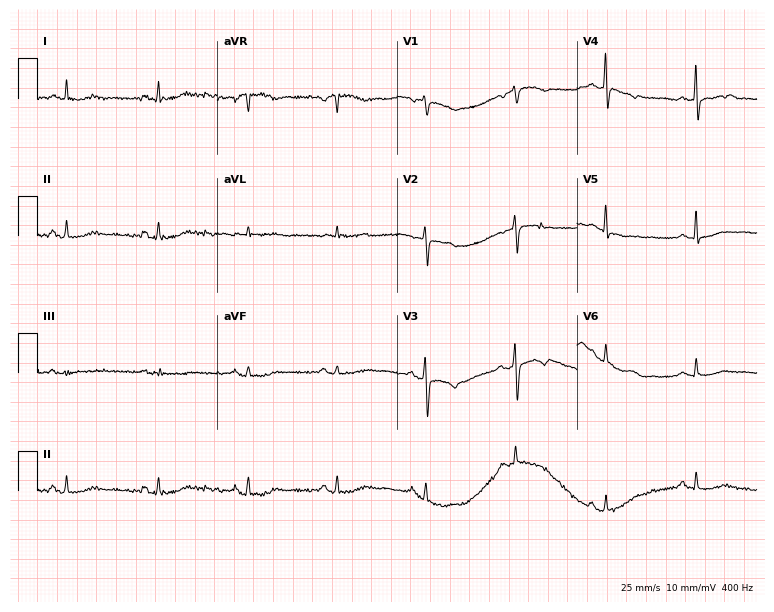
Resting 12-lead electrocardiogram (7.3-second recording at 400 Hz). Patient: a female, 63 years old. None of these six findings is recorded: first-degree AV block, right bundle branch block (RBBB), left bundle branch block (LBBB), sinus bradycardia, atrial fibrillation (AF), sinus tachycardia.